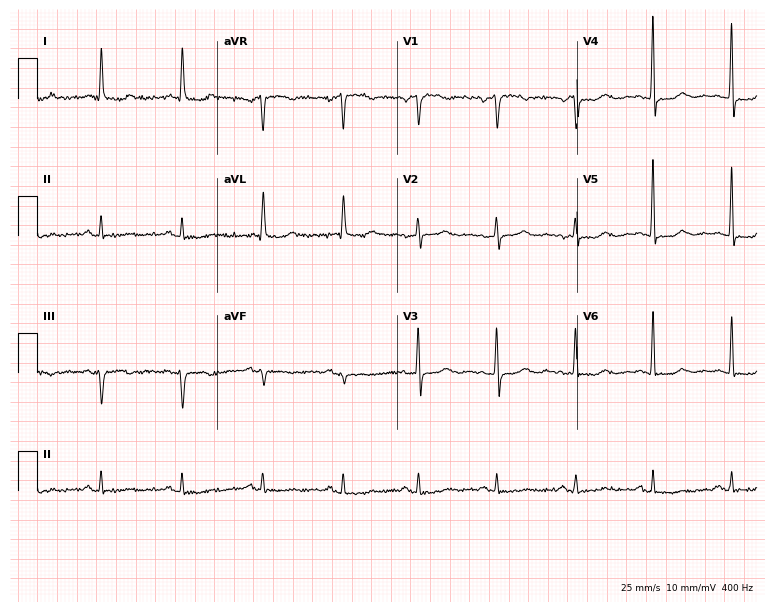
ECG — a 64-year-old female patient. Screened for six findings — first-degree AV block, right bundle branch block (RBBB), left bundle branch block (LBBB), sinus bradycardia, atrial fibrillation (AF), sinus tachycardia — none is recorded. Findings outside these six are not listed.